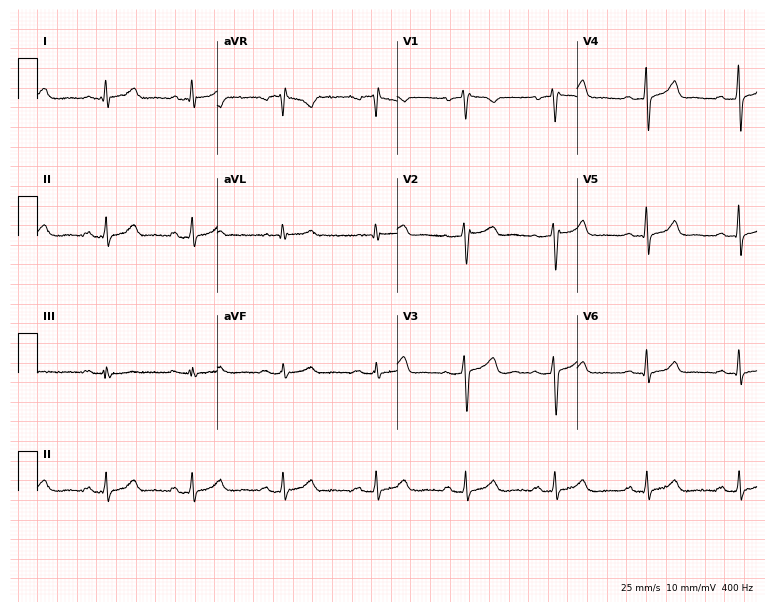
Resting 12-lead electrocardiogram. Patient: a woman, 39 years old. Read as a normal ECG.